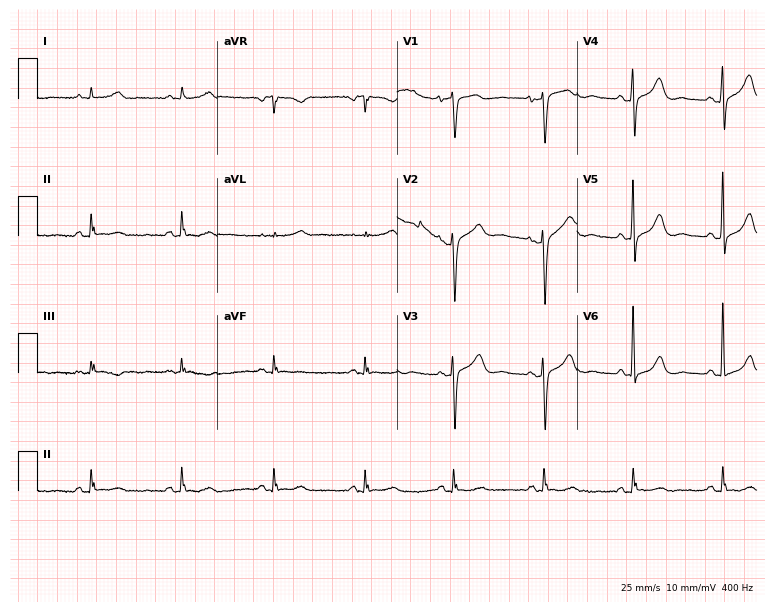
12-lead ECG from a 64-year-old female patient. Recorded interpretation: within normal limits.